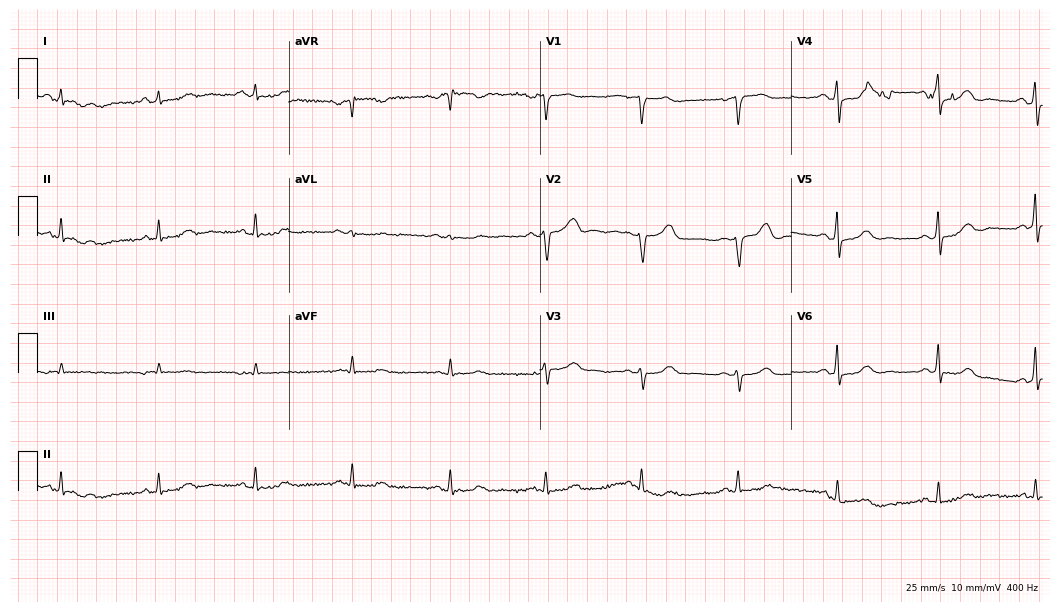
Standard 12-lead ECG recorded from a woman, 77 years old (10.2-second recording at 400 Hz). Read as a normal ECG.